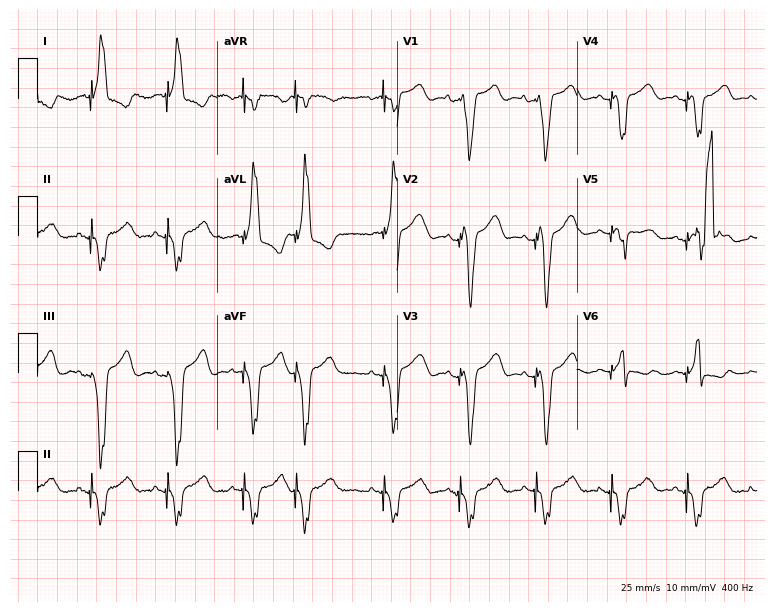
Electrocardiogram (7.3-second recording at 400 Hz), a female, 78 years old. Of the six screened findings (first-degree AV block, right bundle branch block, left bundle branch block, sinus bradycardia, atrial fibrillation, sinus tachycardia), none is recorded. Findings outside these six are not listed.